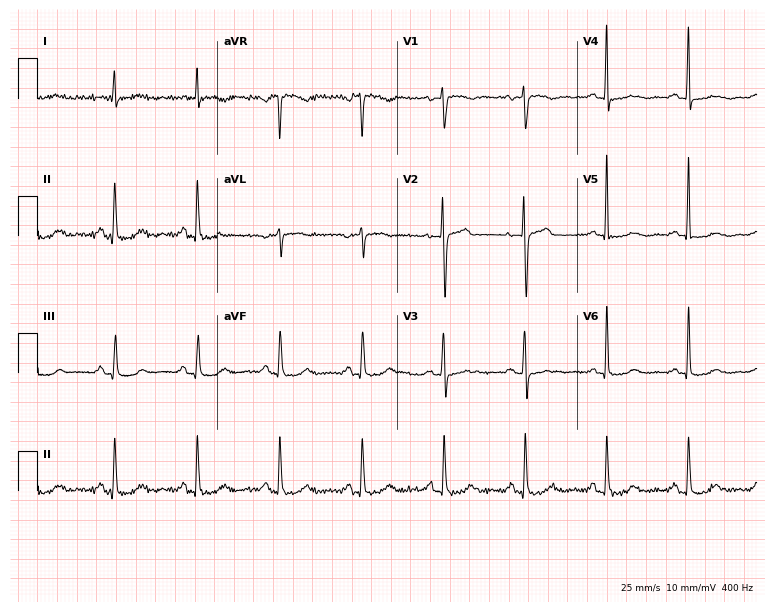
12-lead ECG from a female patient, 61 years old (7.3-second recording at 400 Hz). No first-degree AV block, right bundle branch block (RBBB), left bundle branch block (LBBB), sinus bradycardia, atrial fibrillation (AF) or sinus tachycardia recorded for this tracing. Findings outside these six are not listed.